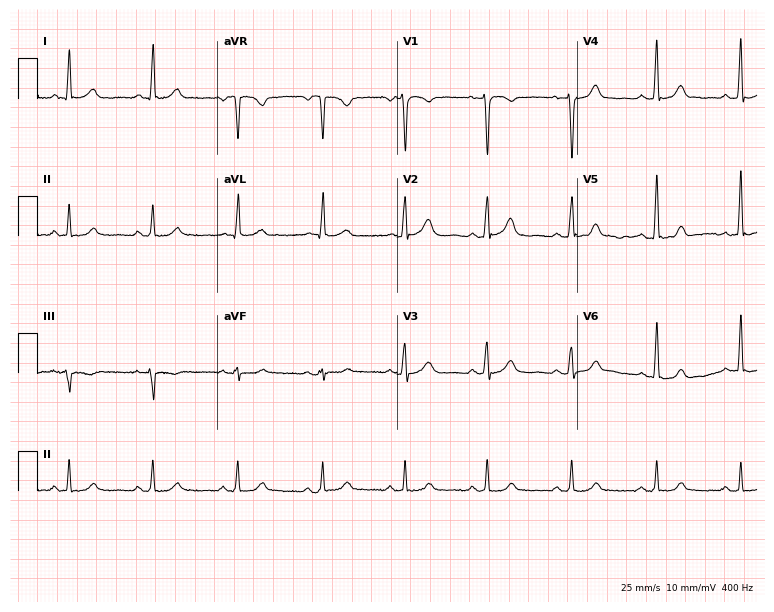
12-lead ECG from a female patient, 52 years old (7.3-second recording at 400 Hz). Recorded interpretation: within normal limits.